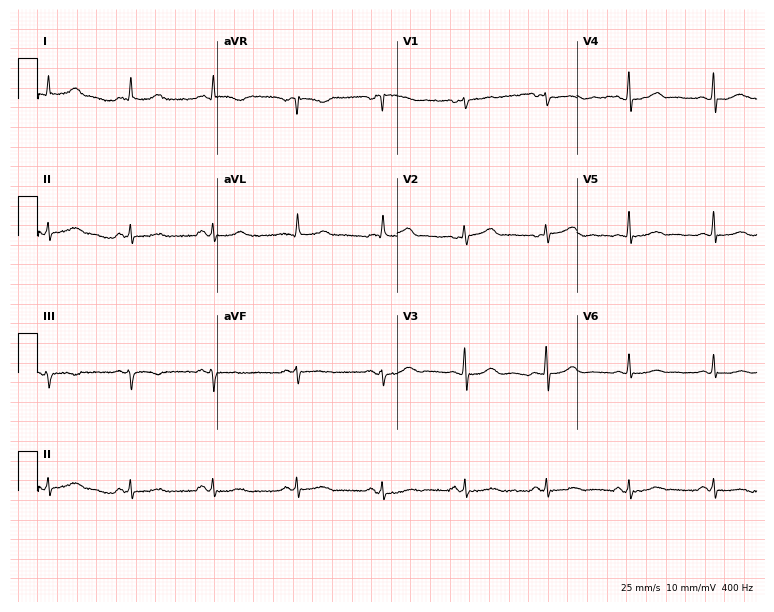
ECG — a 55-year-old female patient. Screened for six findings — first-degree AV block, right bundle branch block, left bundle branch block, sinus bradycardia, atrial fibrillation, sinus tachycardia — none is recorded.